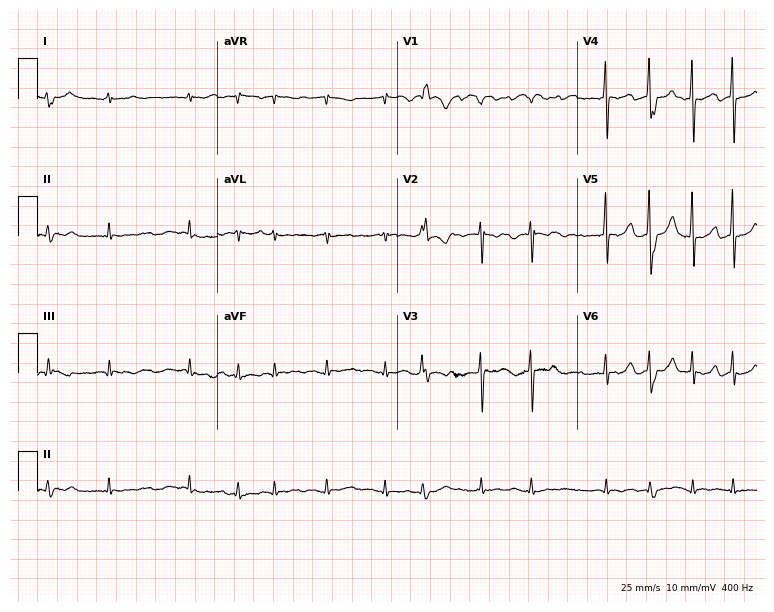
Electrocardiogram, a female patient, 79 years old. Of the six screened findings (first-degree AV block, right bundle branch block, left bundle branch block, sinus bradycardia, atrial fibrillation, sinus tachycardia), none is recorded. Findings outside these six are not listed.